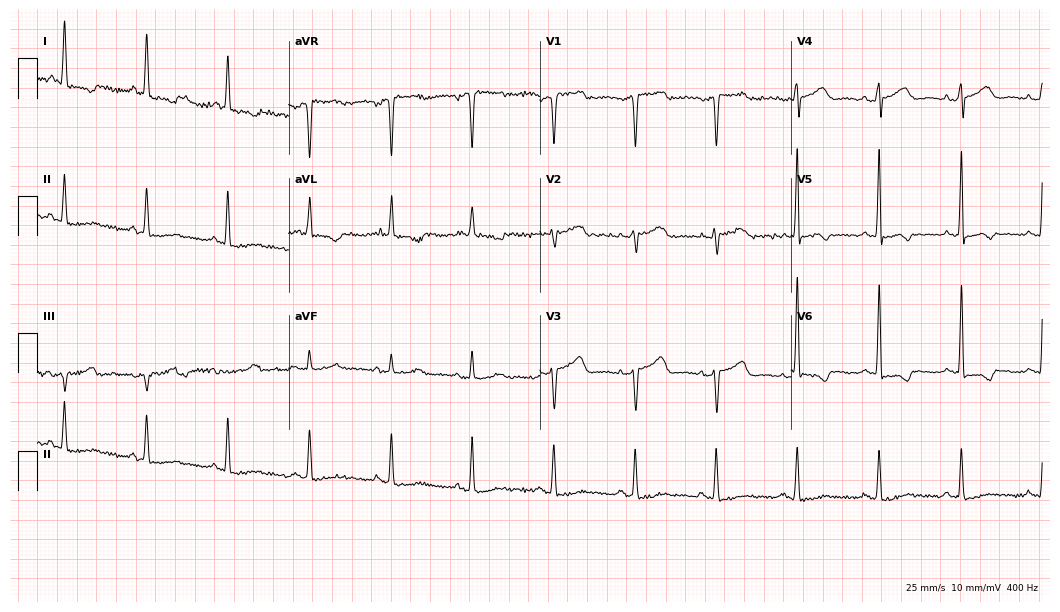
12-lead ECG from a female patient, 63 years old. No first-degree AV block, right bundle branch block (RBBB), left bundle branch block (LBBB), sinus bradycardia, atrial fibrillation (AF) or sinus tachycardia recorded for this tracing. Only these six findings were labelled.